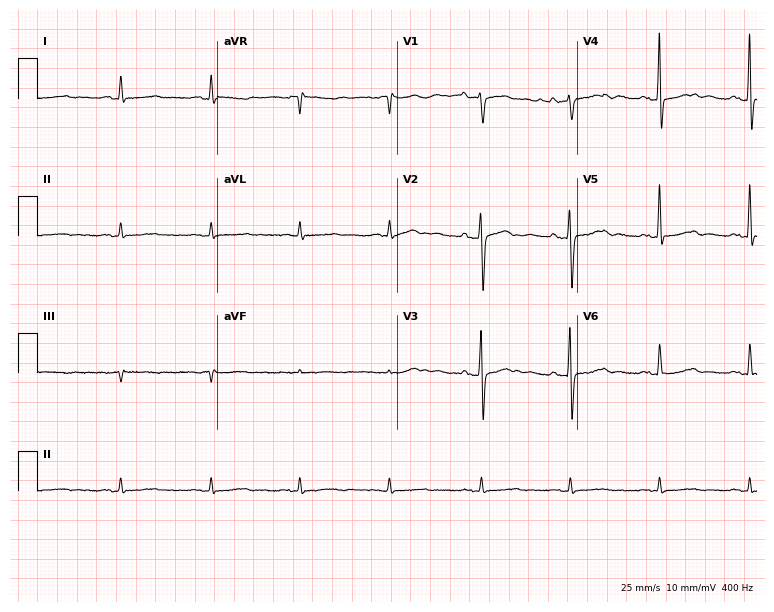
12-lead ECG from a 73-year-old female patient (7.3-second recording at 400 Hz). No first-degree AV block, right bundle branch block (RBBB), left bundle branch block (LBBB), sinus bradycardia, atrial fibrillation (AF) or sinus tachycardia recorded for this tracing.